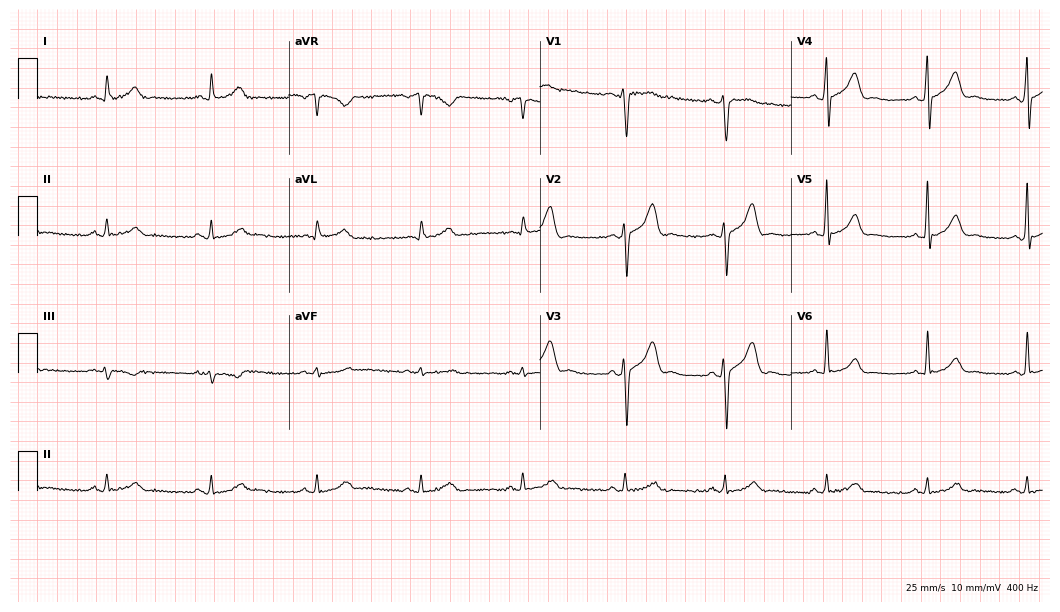
ECG — a male, 49 years old. Labelled as a normal ECG.